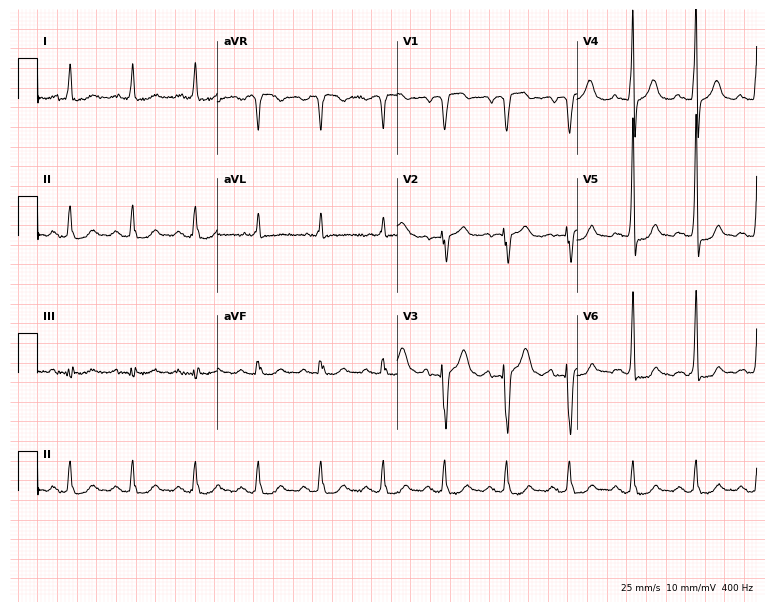
ECG — a 77-year-old female. Screened for six findings — first-degree AV block, right bundle branch block, left bundle branch block, sinus bradycardia, atrial fibrillation, sinus tachycardia — none is recorded. Only these six findings were labelled.